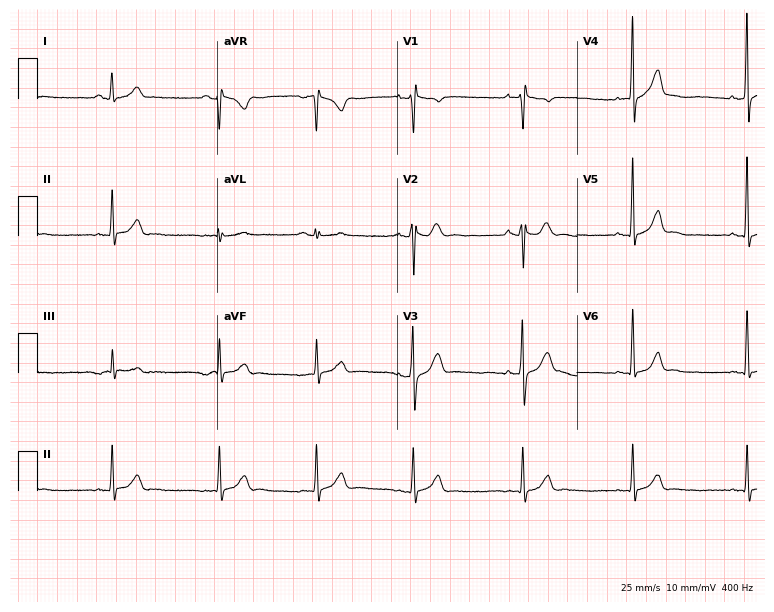
Resting 12-lead electrocardiogram (7.3-second recording at 400 Hz). Patient: a man, 21 years old. None of these six findings is recorded: first-degree AV block, right bundle branch block, left bundle branch block, sinus bradycardia, atrial fibrillation, sinus tachycardia.